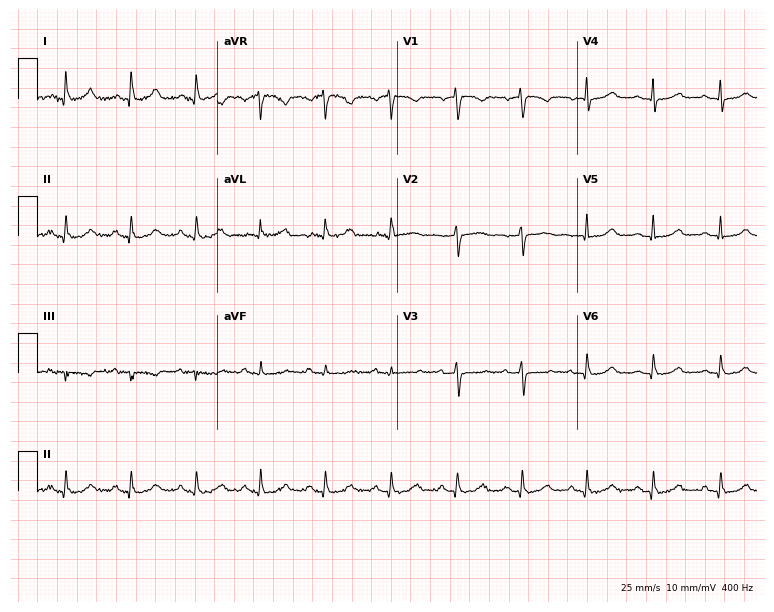
12-lead ECG from a woman, 58 years old (7.3-second recording at 400 Hz). Recorded interpretation: within normal limits.